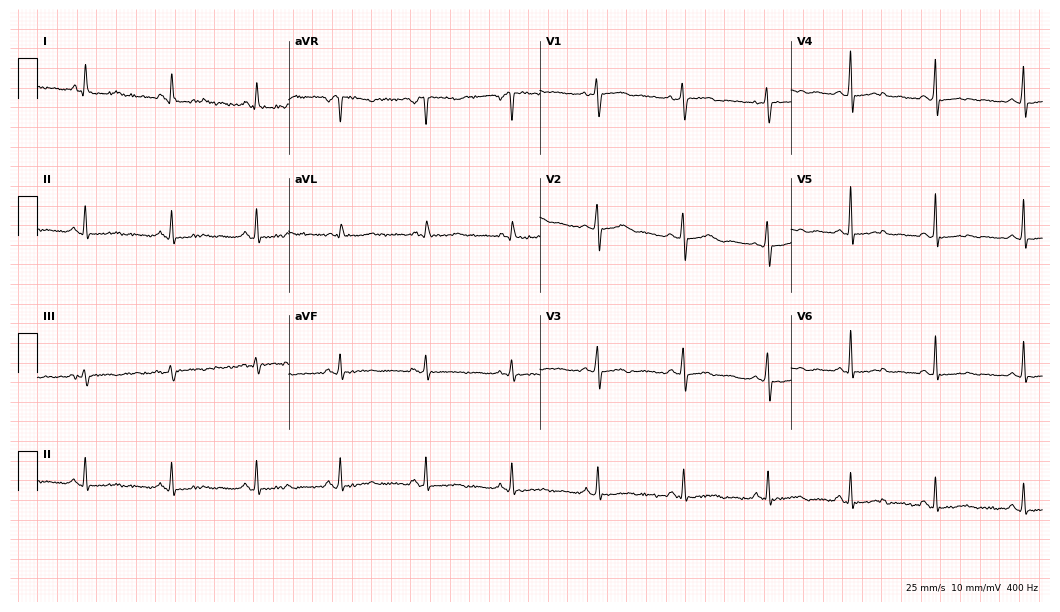
Standard 12-lead ECG recorded from a female, 56 years old. Read as a normal ECG.